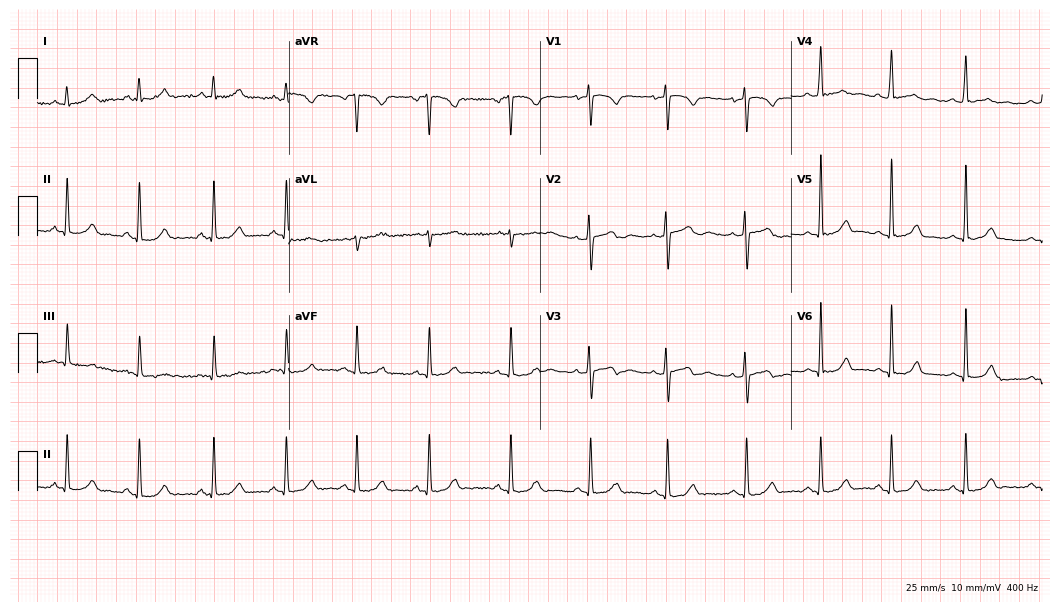
Standard 12-lead ECG recorded from a female, 21 years old. Read as a normal ECG.